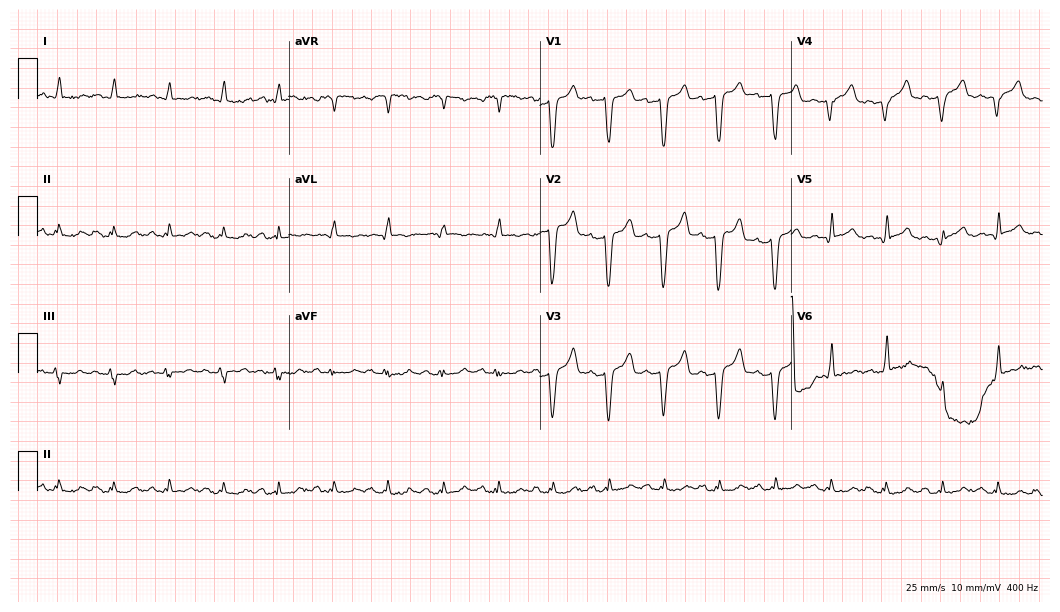
ECG — a 53-year-old male patient. Findings include sinus tachycardia (a sinus rate of 100 beats per minute or more).